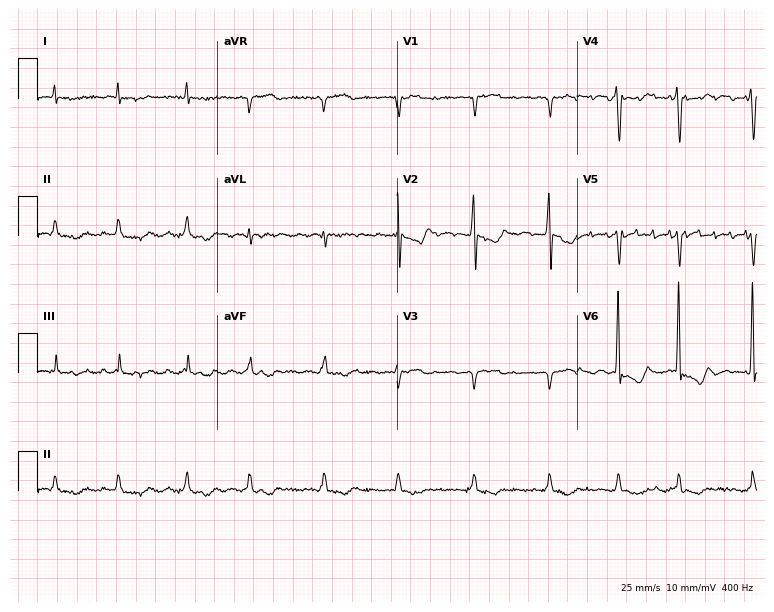
ECG — a woman, 82 years old. Findings include atrial fibrillation.